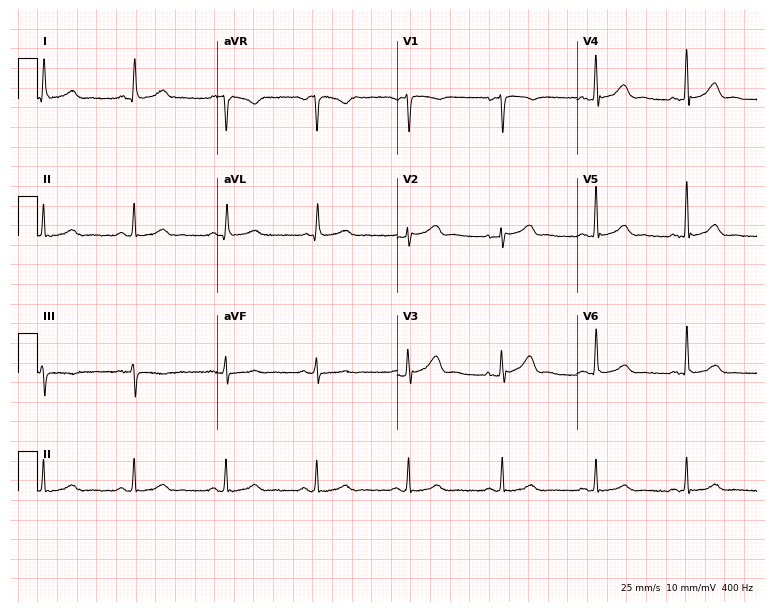
Standard 12-lead ECG recorded from a woman, 48 years old. Read as a normal ECG.